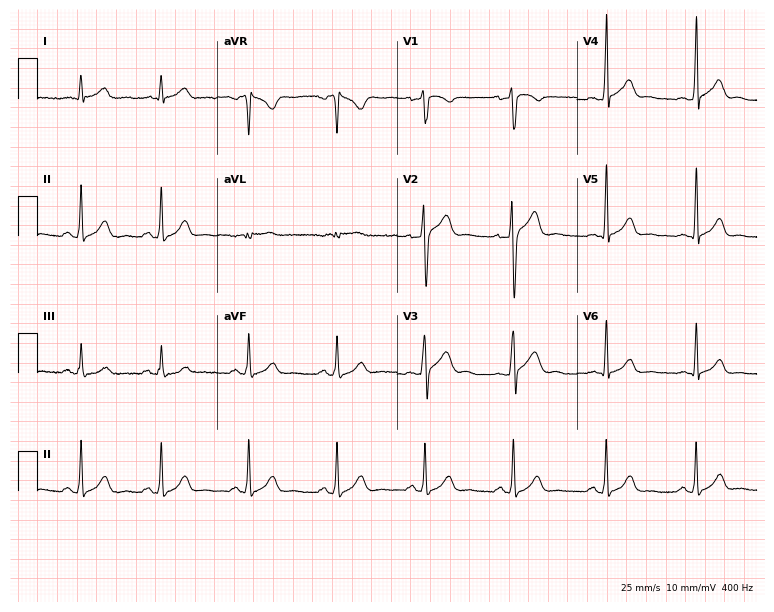
12-lead ECG (7.3-second recording at 400 Hz) from a 30-year-old male. Labelled as a normal ECG.